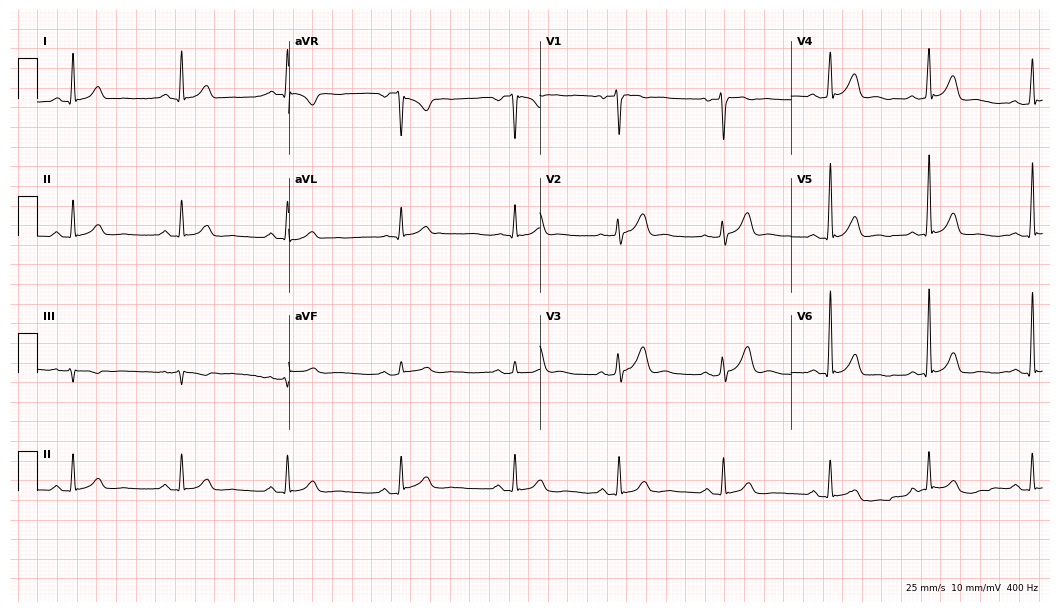
Electrocardiogram (10.2-second recording at 400 Hz), a 38-year-old male patient. Overall reading on record: normal ECG.